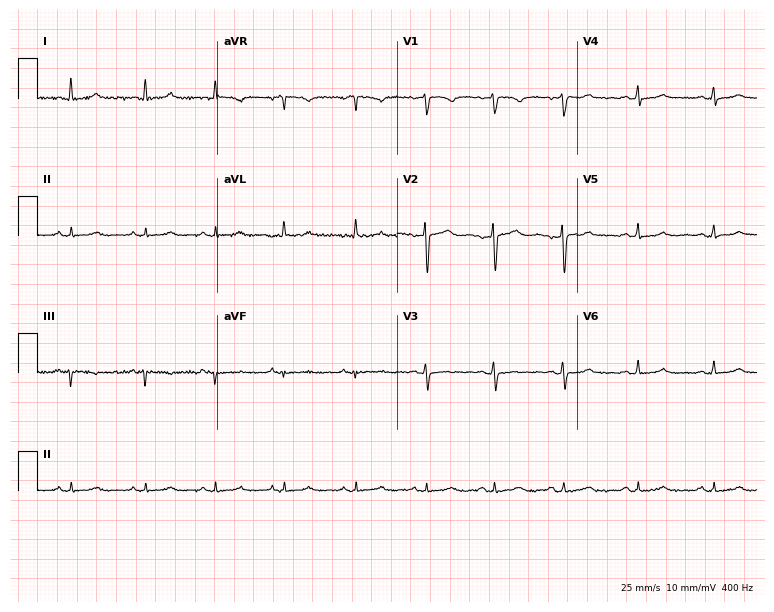
ECG — a 51-year-old female. Labelled as a normal ECG.